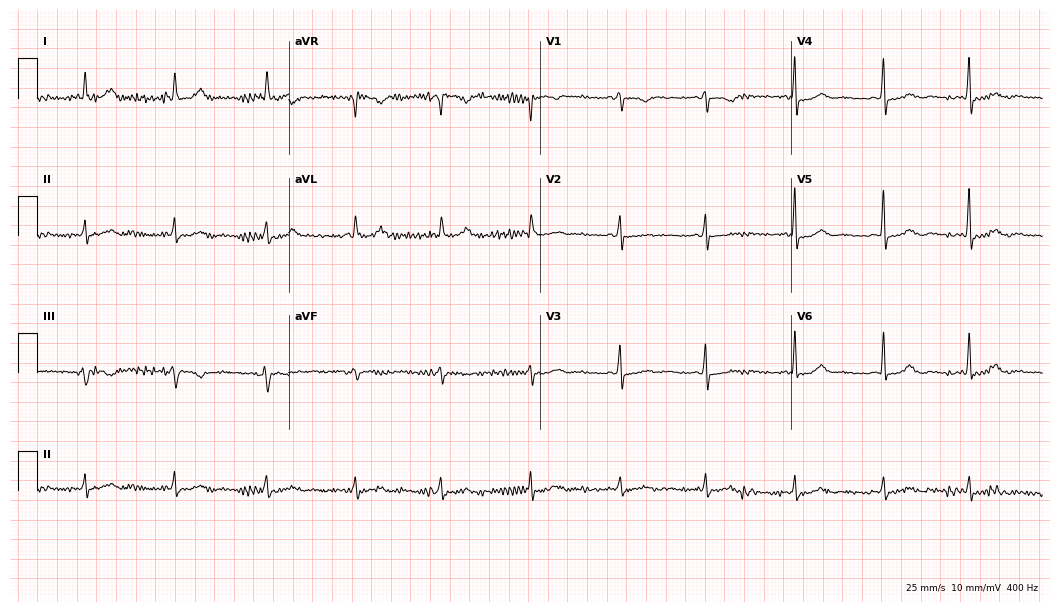
Standard 12-lead ECG recorded from a 66-year-old female patient (10.2-second recording at 400 Hz). None of these six findings is recorded: first-degree AV block, right bundle branch block (RBBB), left bundle branch block (LBBB), sinus bradycardia, atrial fibrillation (AF), sinus tachycardia. Findings outside these six are not listed.